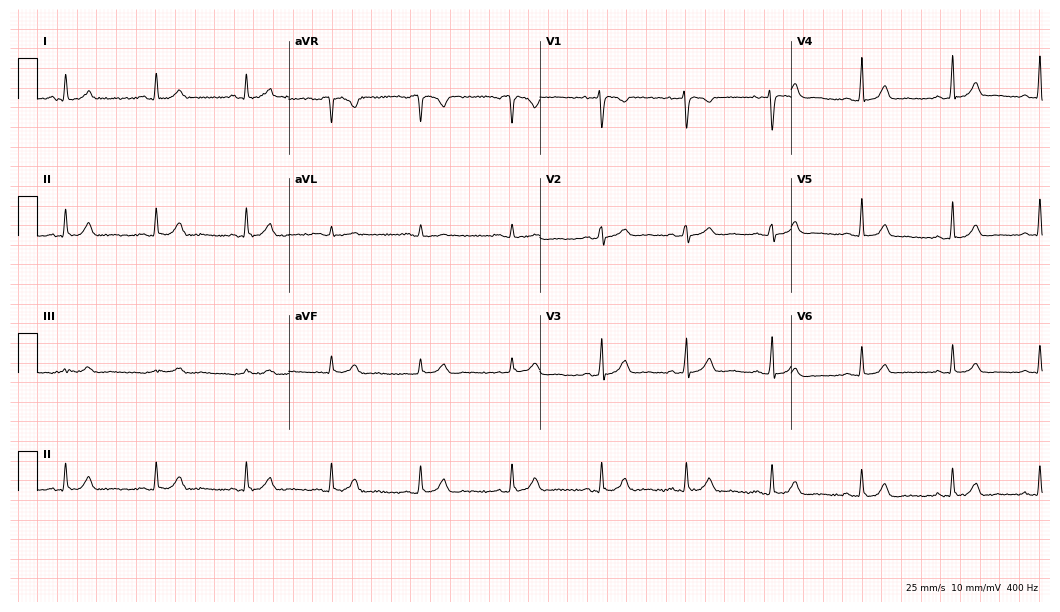
ECG — a female patient, 43 years old. Labelled as a normal ECG.